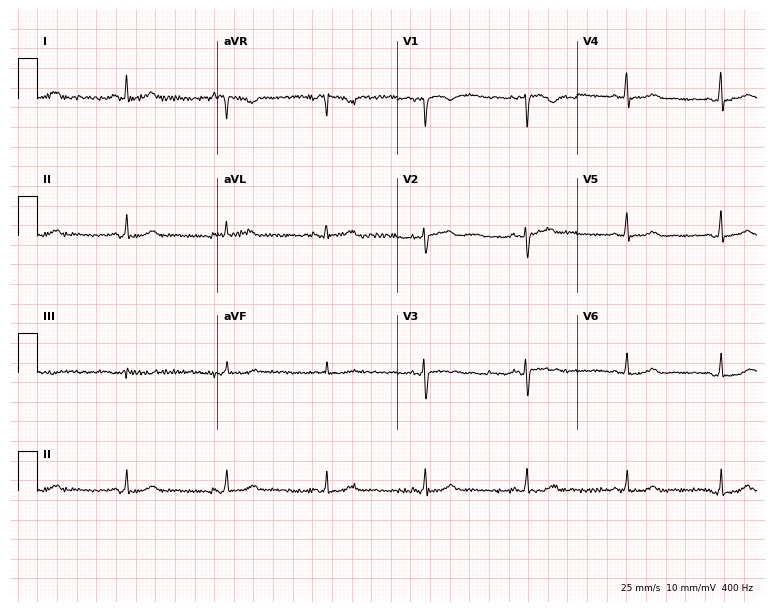
Standard 12-lead ECG recorded from a 32-year-old female. Read as a normal ECG.